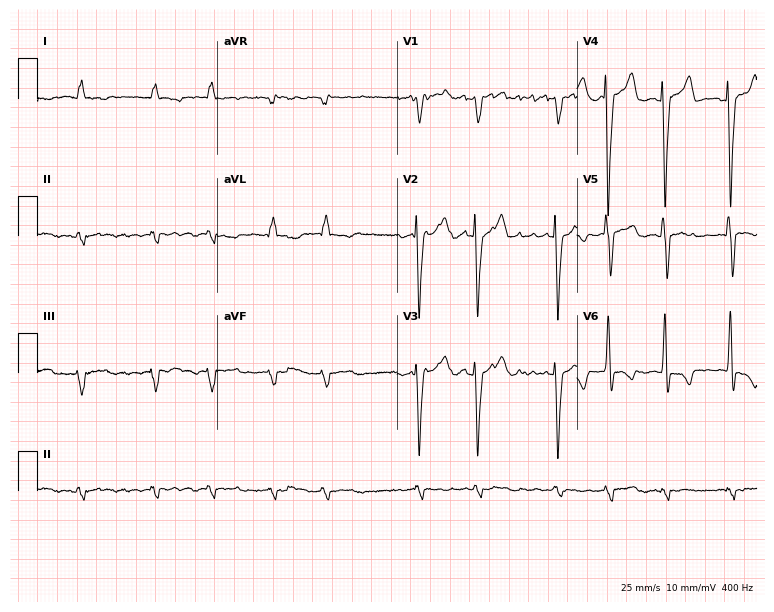
12-lead ECG from a male, 67 years old. Findings include atrial fibrillation.